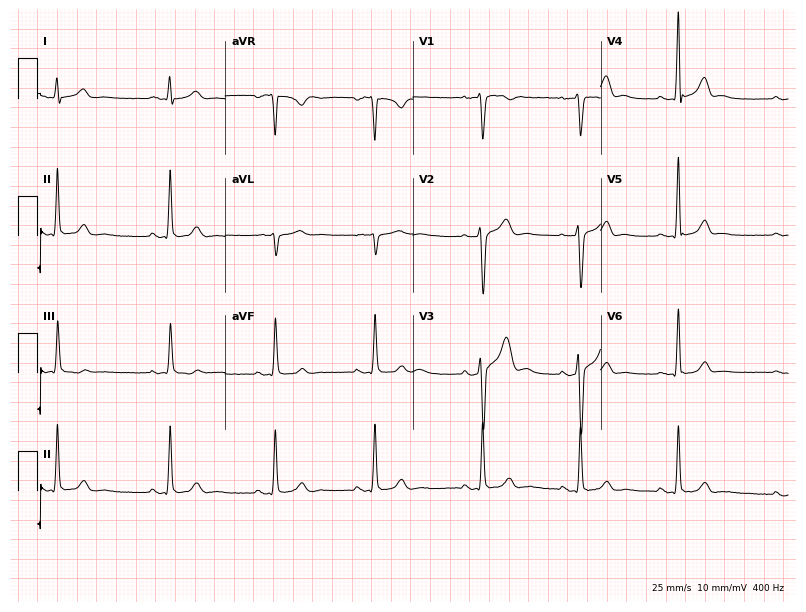
Resting 12-lead electrocardiogram. Patient: a male, 22 years old. Read as a normal ECG.